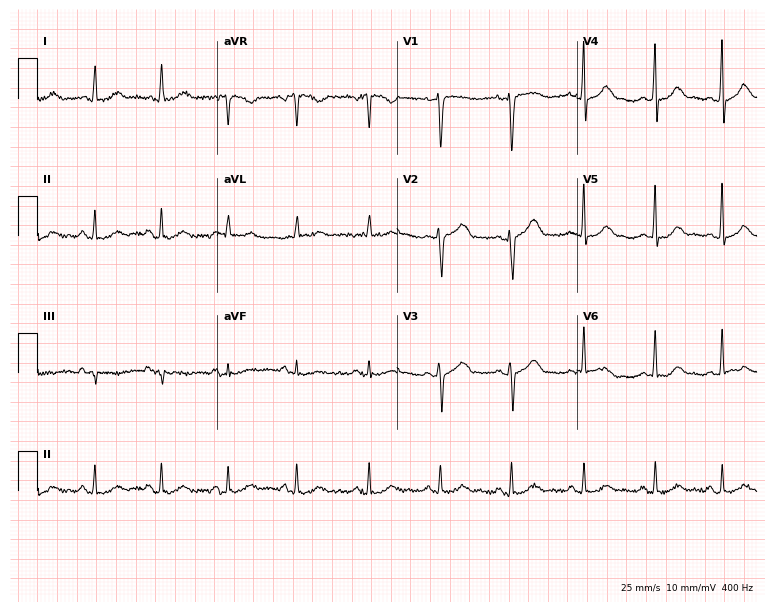
Resting 12-lead electrocardiogram (7.3-second recording at 400 Hz). Patient: a 20-year-old woman. Read as a normal ECG.